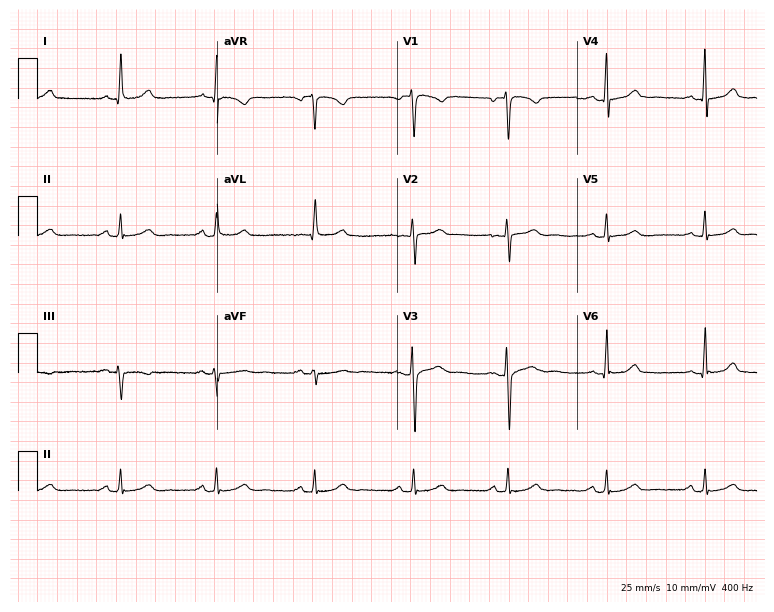
ECG (7.3-second recording at 400 Hz) — a woman, 47 years old. Labelled as a normal ECG.